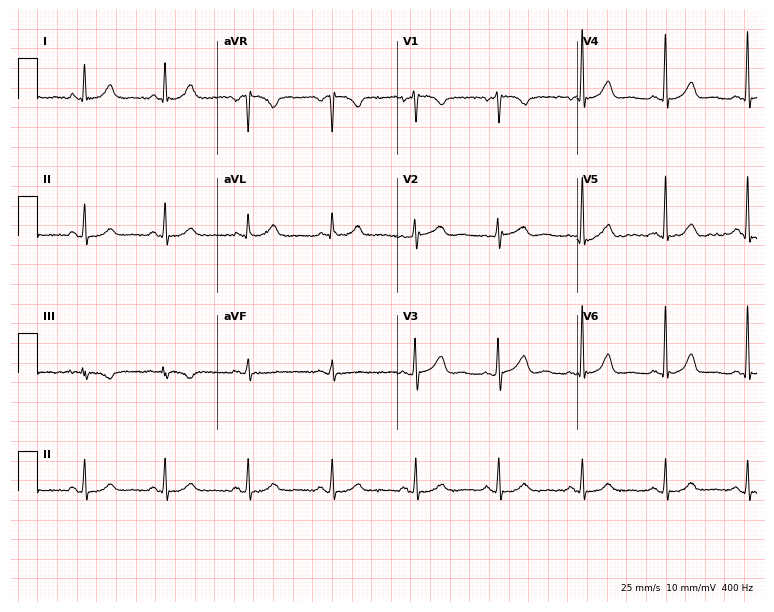
ECG — a 54-year-old woman. Screened for six findings — first-degree AV block, right bundle branch block, left bundle branch block, sinus bradycardia, atrial fibrillation, sinus tachycardia — none is recorded. Other findings, if any, are not listed.